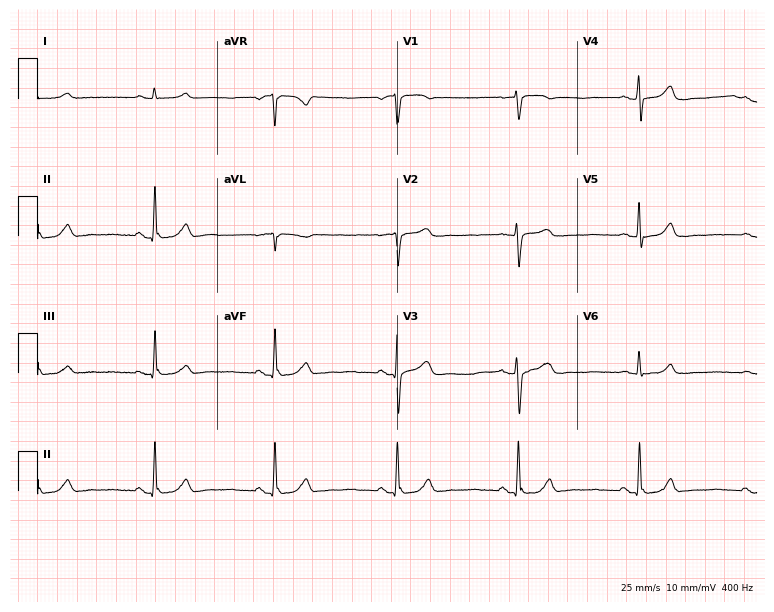
12-lead ECG from a 63-year-old male. Findings include sinus bradycardia (a sinus rate of 50 beats per minute or less).